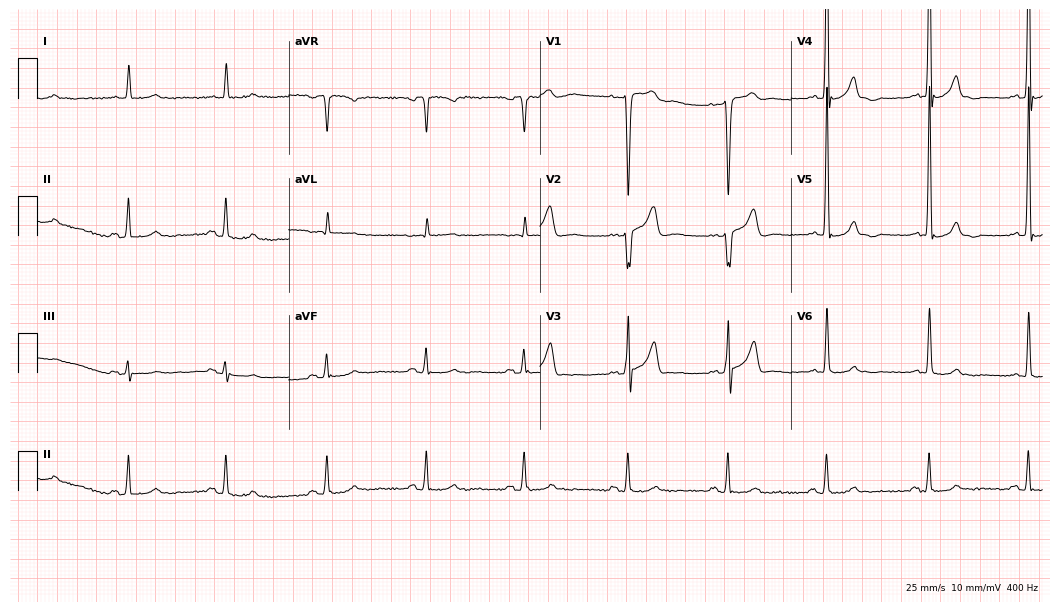
Resting 12-lead electrocardiogram. Patient: a 60-year-old male. None of these six findings is recorded: first-degree AV block, right bundle branch block, left bundle branch block, sinus bradycardia, atrial fibrillation, sinus tachycardia. Other findings, if any, are not listed.